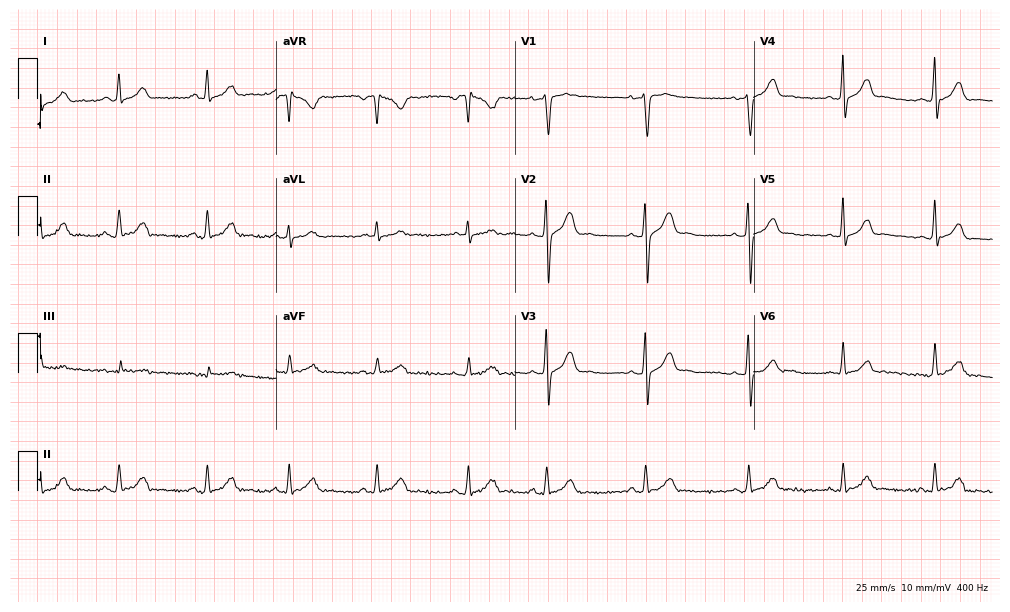
Standard 12-lead ECG recorded from a 20-year-old female. Read as a normal ECG.